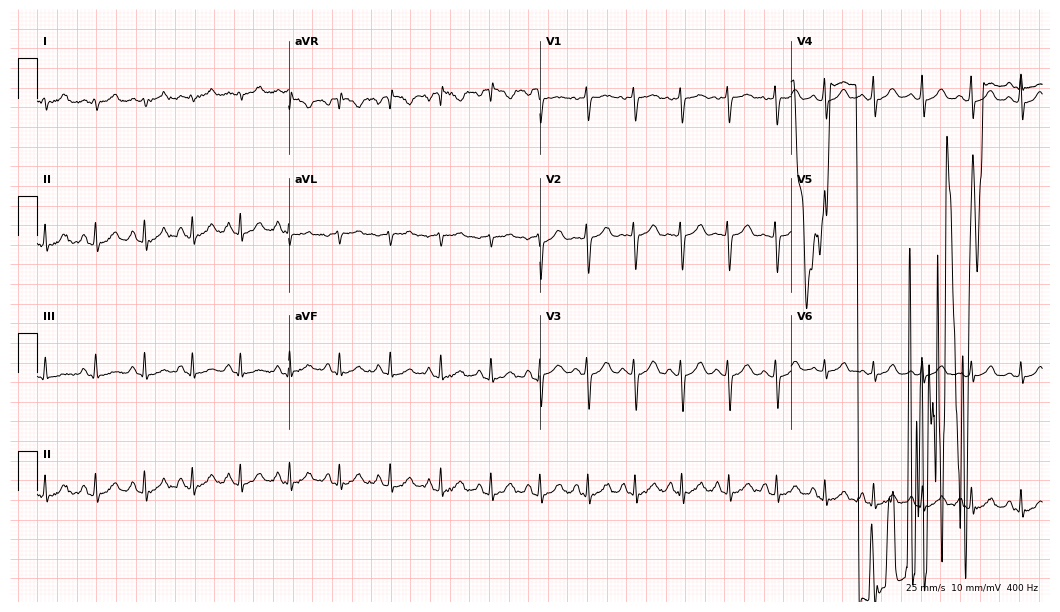
ECG — a 28-year-old female. Screened for six findings — first-degree AV block, right bundle branch block (RBBB), left bundle branch block (LBBB), sinus bradycardia, atrial fibrillation (AF), sinus tachycardia — none is recorded.